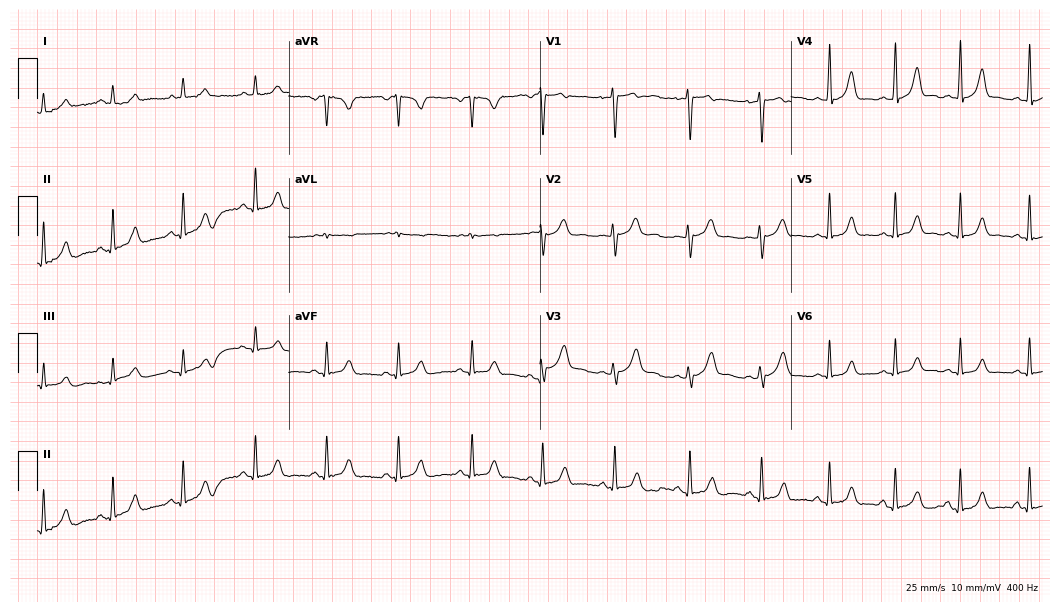
Resting 12-lead electrocardiogram (10.2-second recording at 400 Hz). Patient: a 17-year-old female. None of these six findings is recorded: first-degree AV block, right bundle branch block, left bundle branch block, sinus bradycardia, atrial fibrillation, sinus tachycardia.